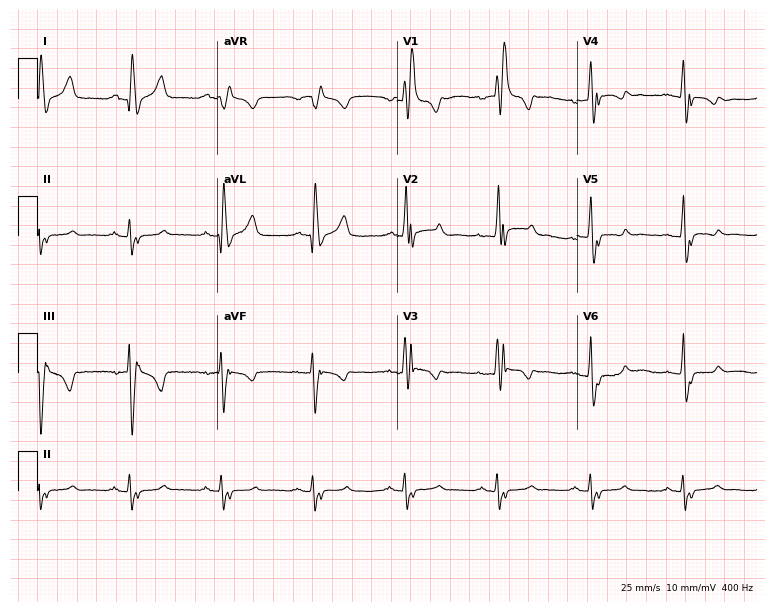
Electrocardiogram (7.3-second recording at 400 Hz), a male patient, 38 years old. Interpretation includes right bundle branch block.